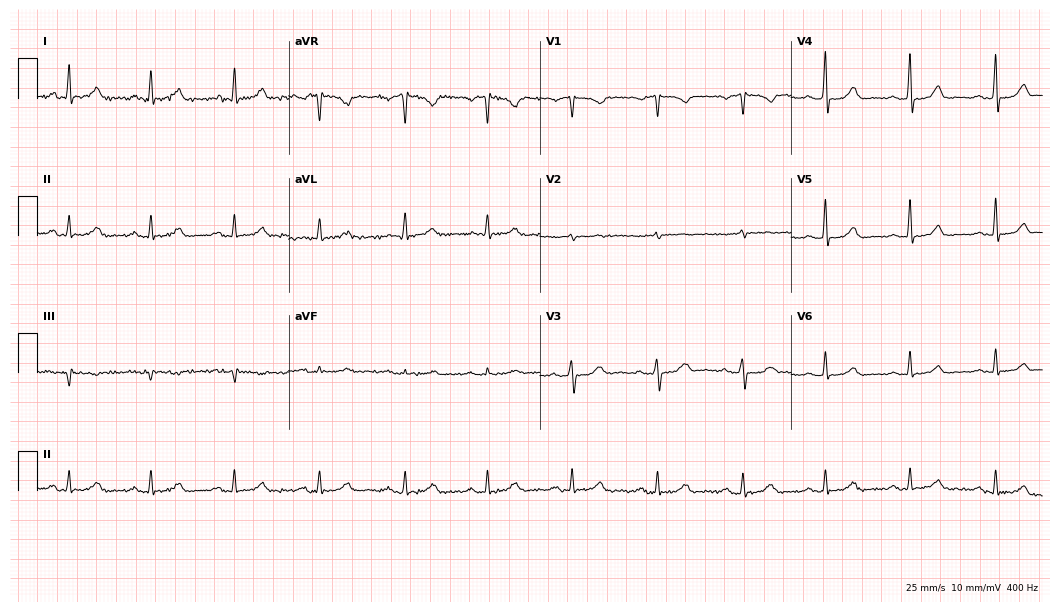
Resting 12-lead electrocardiogram. Patient: a female, 62 years old. Read as a normal ECG.